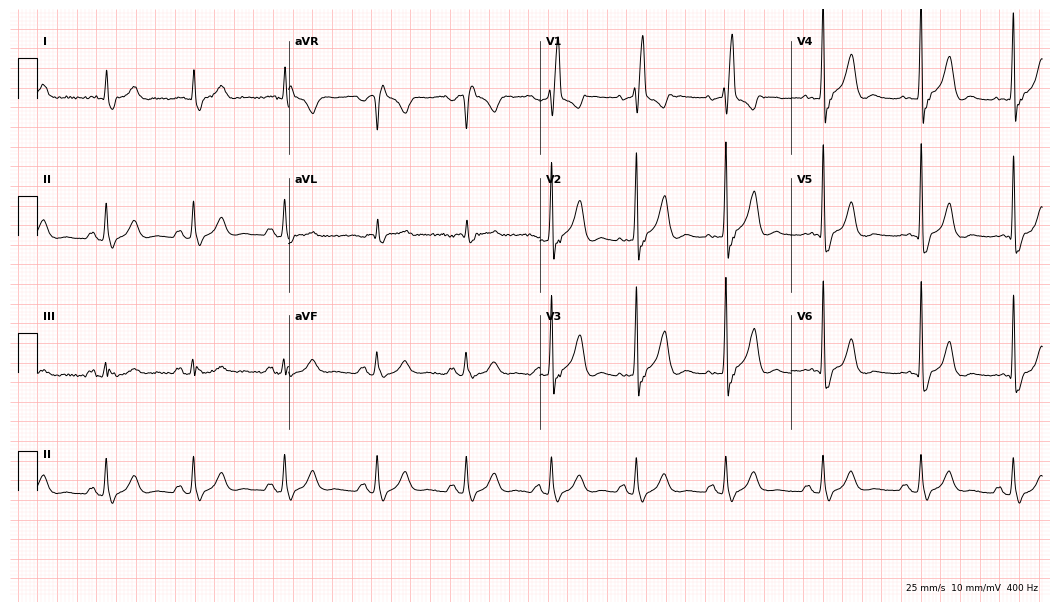
ECG (10.2-second recording at 400 Hz) — a 58-year-old male. Findings include right bundle branch block (RBBB).